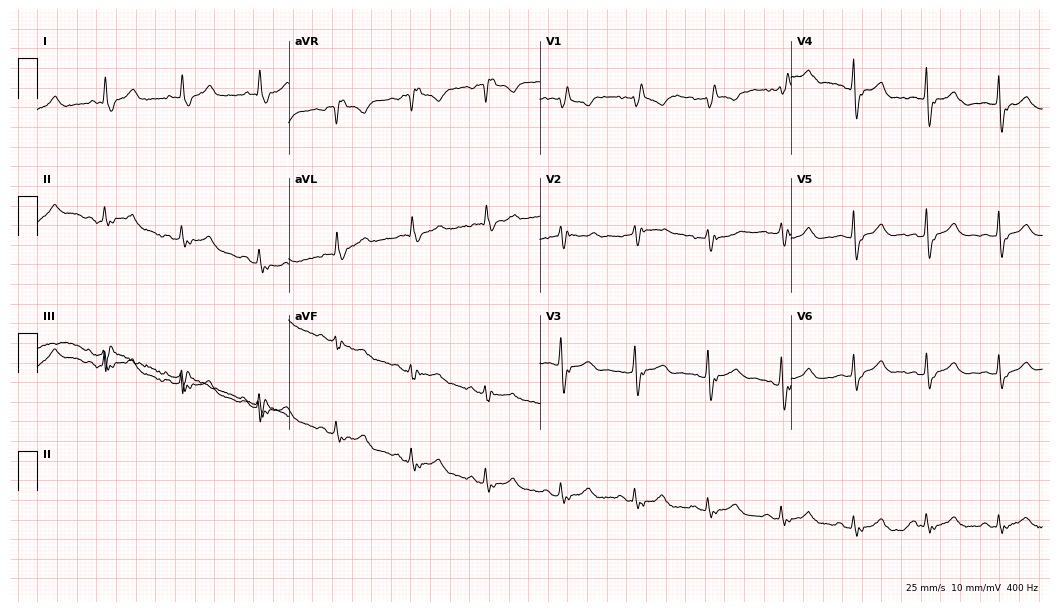
ECG (10.2-second recording at 400 Hz) — a woman, 85 years old. Findings include first-degree AV block, right bundle branch block.